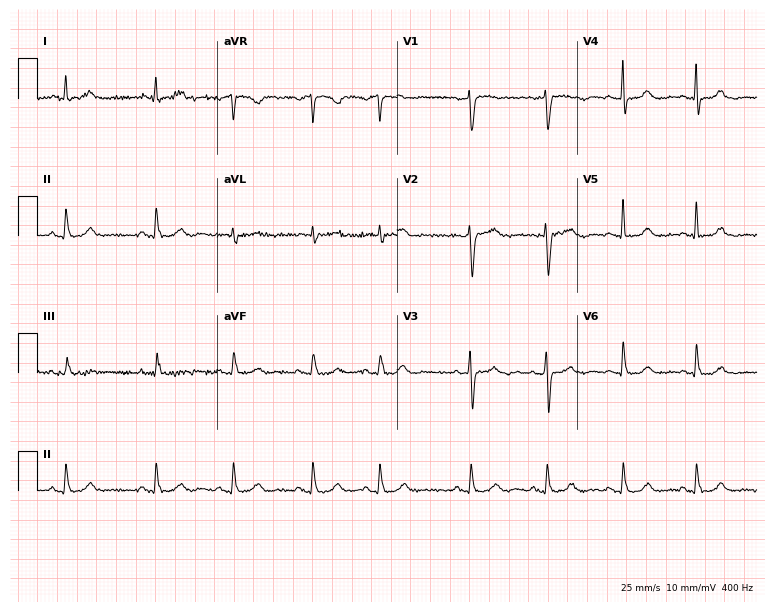
Electrocardiogram (7.3-second recording at 400 Hz), a 63-year-old female patient. Of the six screened findings (first-degree AV block, right bundle branch block, left bundle branch block, sinus bradycardia, atrial fibrillation, sinus tachycardia), none is recorded. Other findings, if any, are not listed.